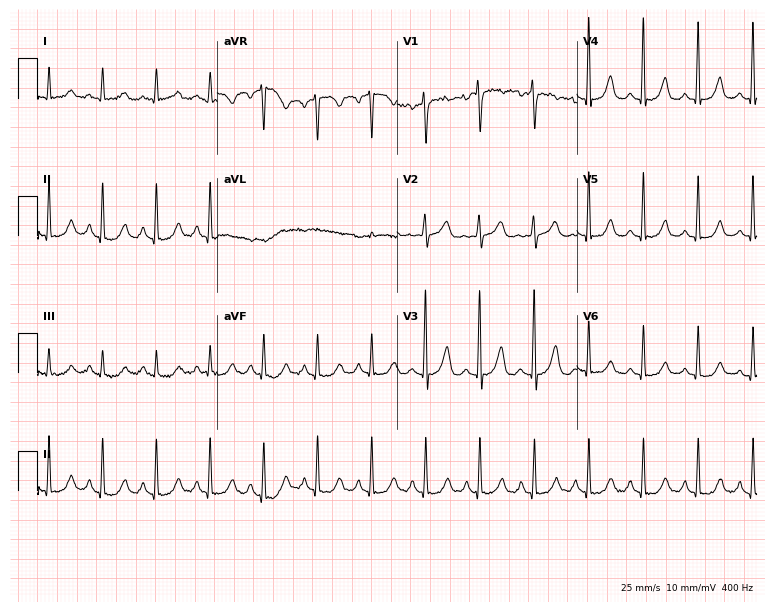
Standard 12-lead ECG recorded from a female patient, 48 years old. None of these six findings is recorded: first-degree AV block, right bundle branch block, left bundle branch block, sinus bradycardia, atrial fibrillation, sinus tachycardia.